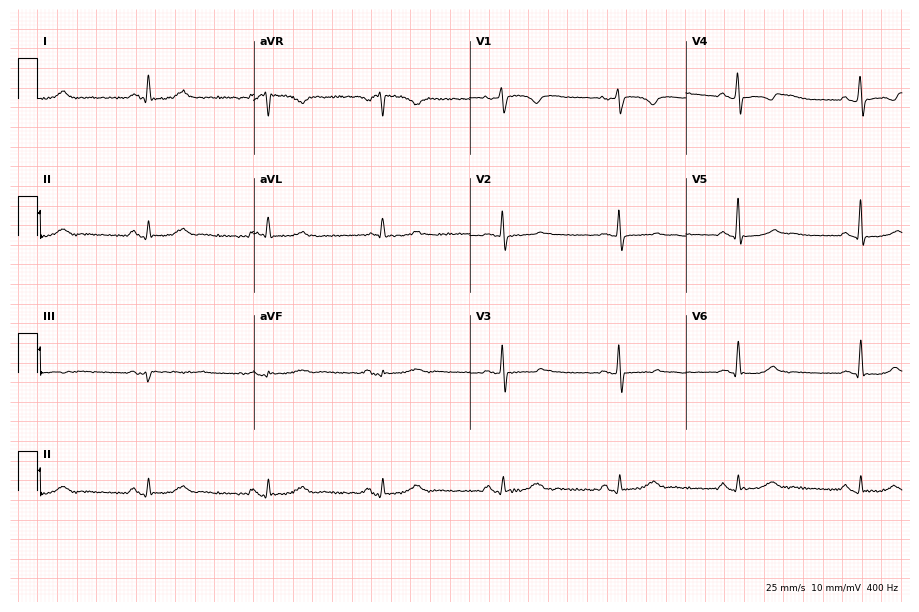
Standard 12-lead ECG recorded from a female patient, 63 years old (8.8-second recording at 400 Hz). The tracing shows sinus bradycardia (a sinus rate of 50 beats per minute or less).